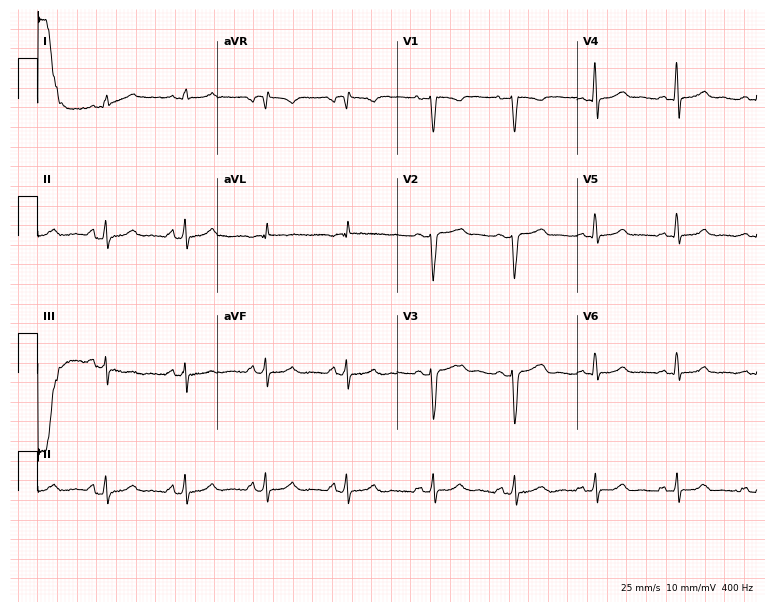
Electrocardiogram (7.3-second recording at 400 Hz), a female patient, 32 years old. Overall reading on record: normal ECG.